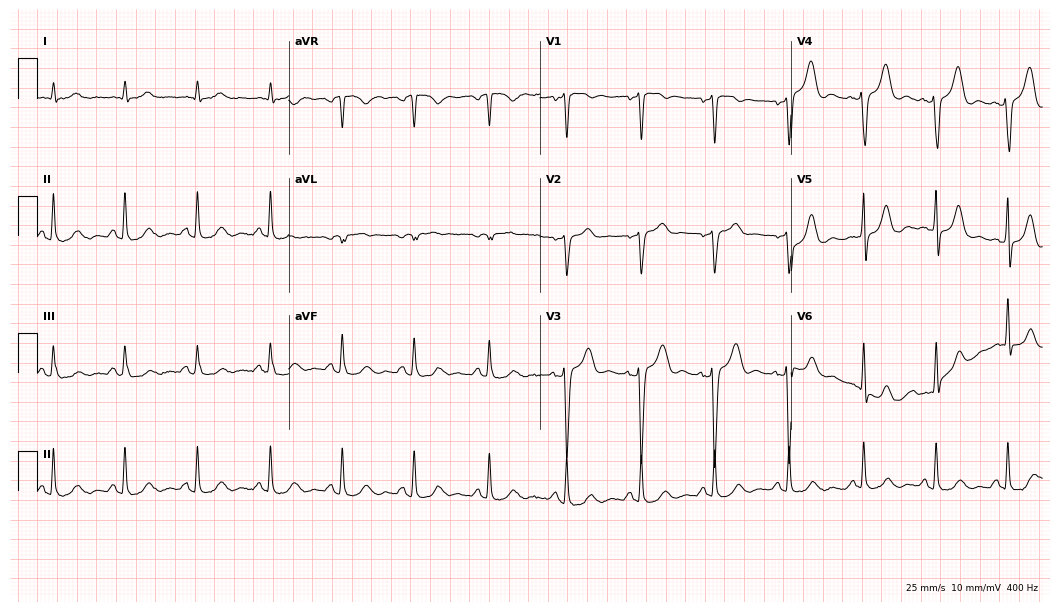
Resting 12-lead electrocardiogram (10.2-second recording at 400 Hz). Patient: a man, 72 years old. Read as a normal ECG.